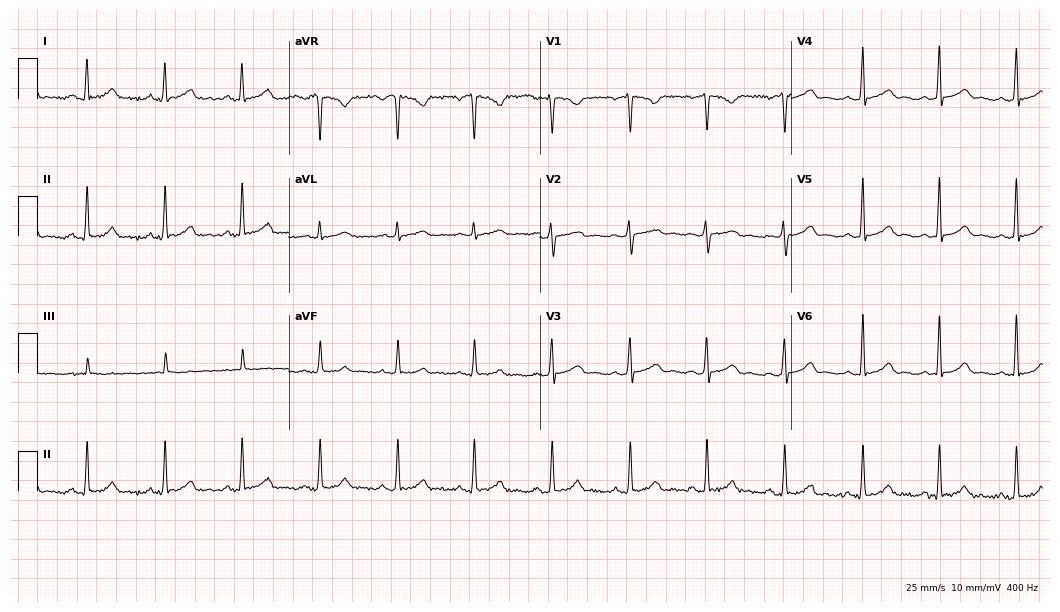
ECG — a 40-year-old female. Labelled as a normal ECG.